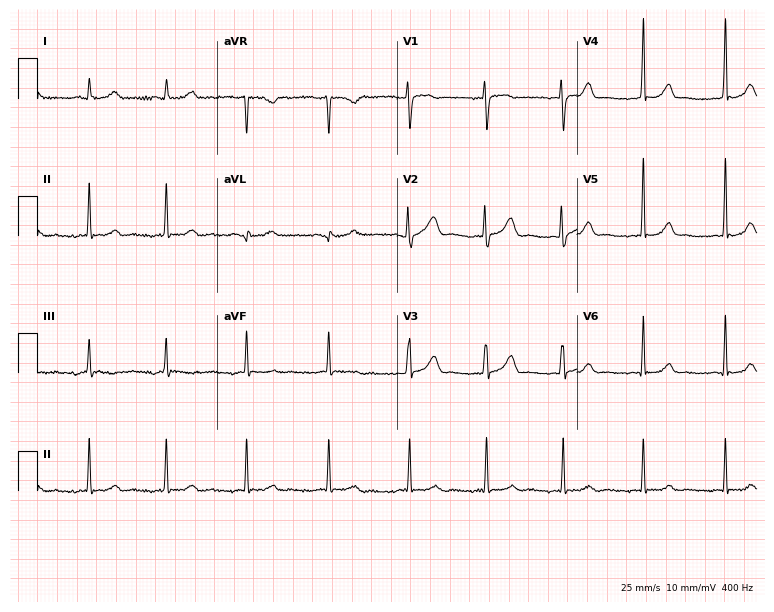
Standard 12-lead ECG recorded from a female, 25 years old. Read as a normal ECG.